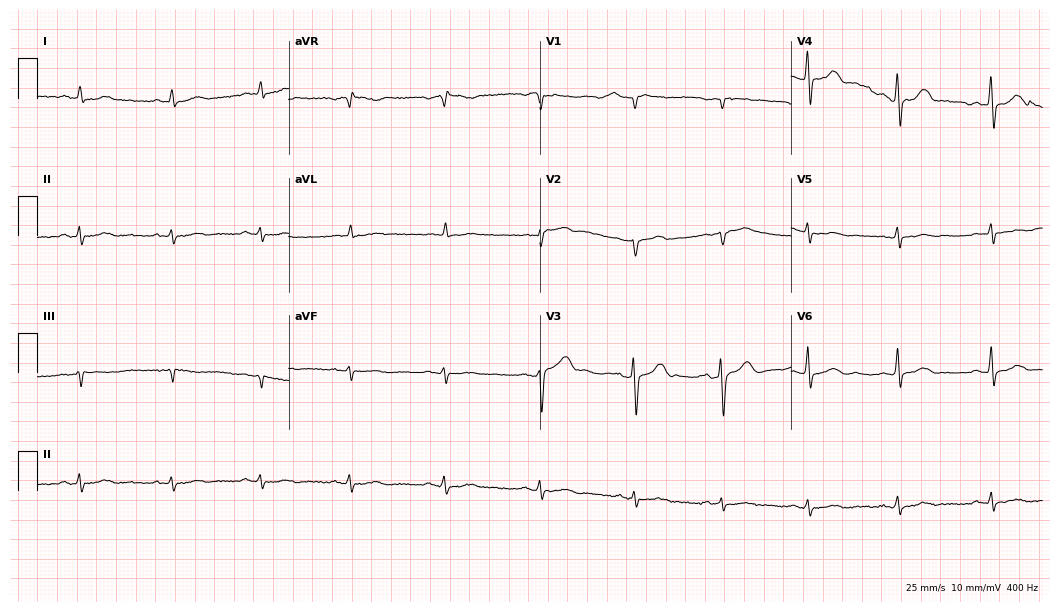
Resting 12-lead electrocardiogram. Patient: a 55-year-old man. None of these six findings is recorded: first-degree AV block, right bundle branch block, left bundle branch block, sinus bradycardia, atrial fibrillation, sinus tachycardia. Other findings, if any, are not listed.